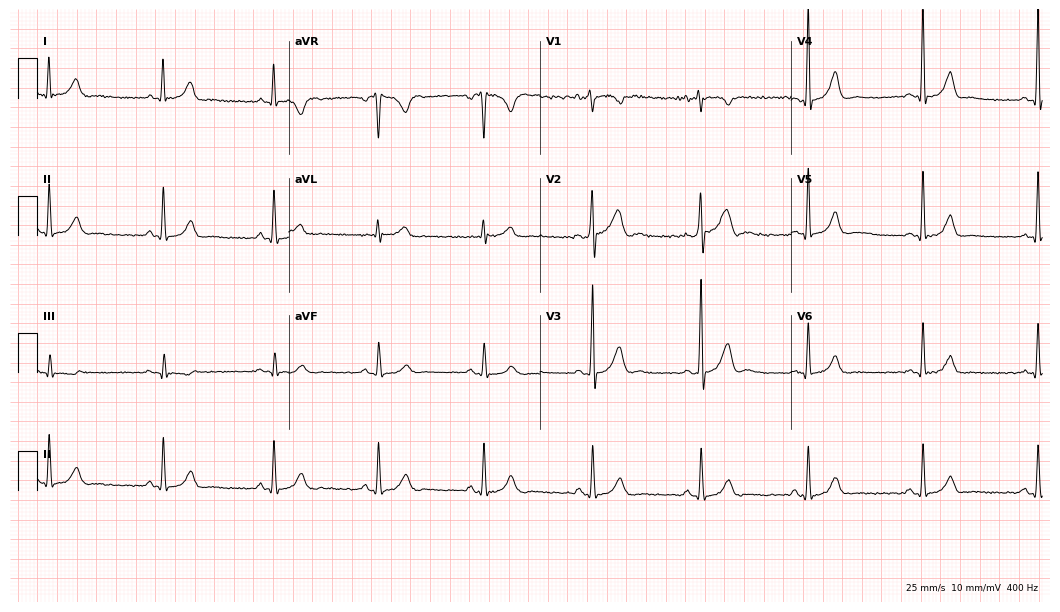
12-lead ECG (10.2-second recording at 400 Hz) from a male patient, 45 years old. Labelled as a normal ECG.